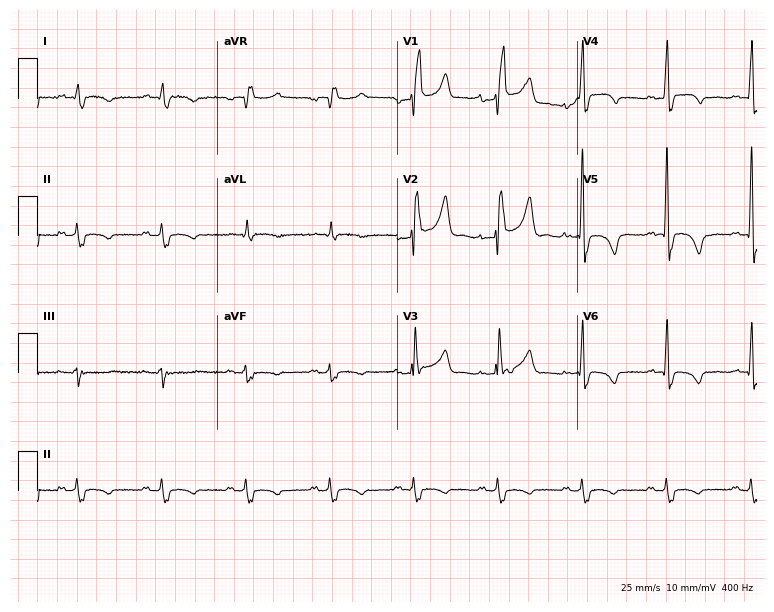
Electrocardiogram (7.3-second recording at 400 Hz), a 53-year-old male patient. Of the six screened findings (first-degree AV block, right bundle branch block (RBBB), left bundle branch block (LBBB), sinus bradycardia, atrial fibrillation (AF), sinus tachycardia), none is recorded. Findings outside these six are not listed.